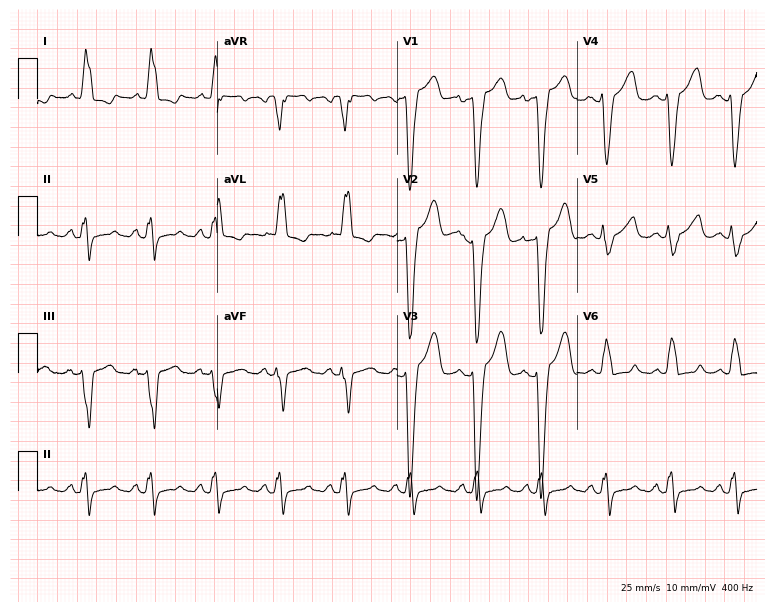
Standard 12-lead ECG recorded from a female, 51 years old. The tracing shows left bundle branch block.